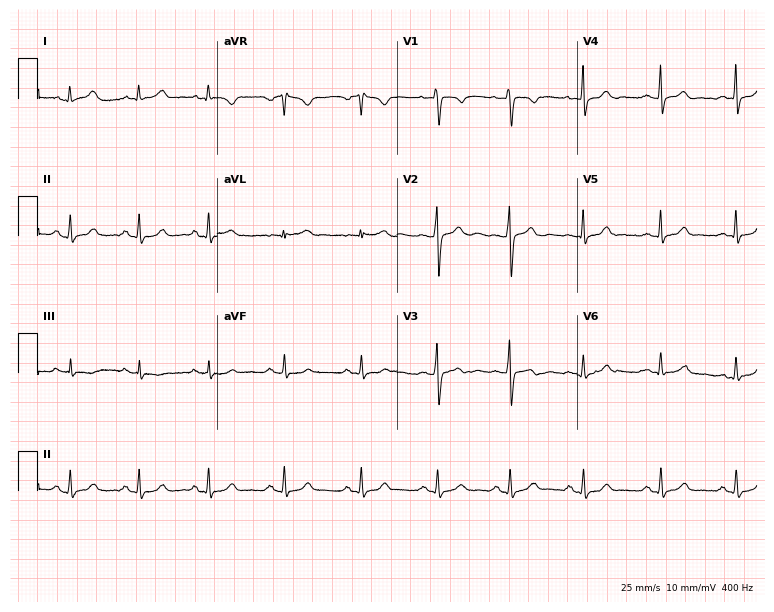
12-lead ECG (7.3-second recording at 400 Hz) from a 35-year-old female. Labelled as a normal ECG.